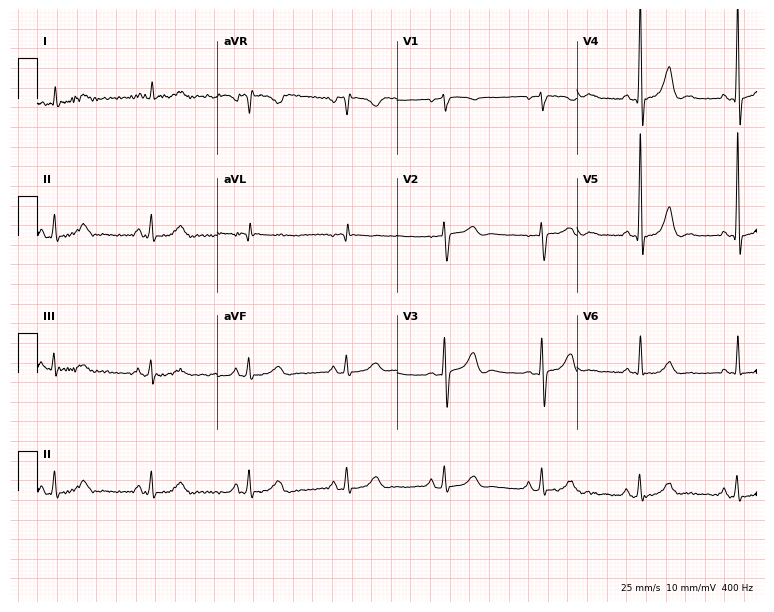
Resting 12-lead electrocardiogram. Patient: a man, 79 years old. None of these six findings is recorded: first-degree AV block, right bundle branch block (RBBB), left bundle branch block (LBBB), sinus bradycardia, atrial fibrillation (AF), sinus tachycardia.